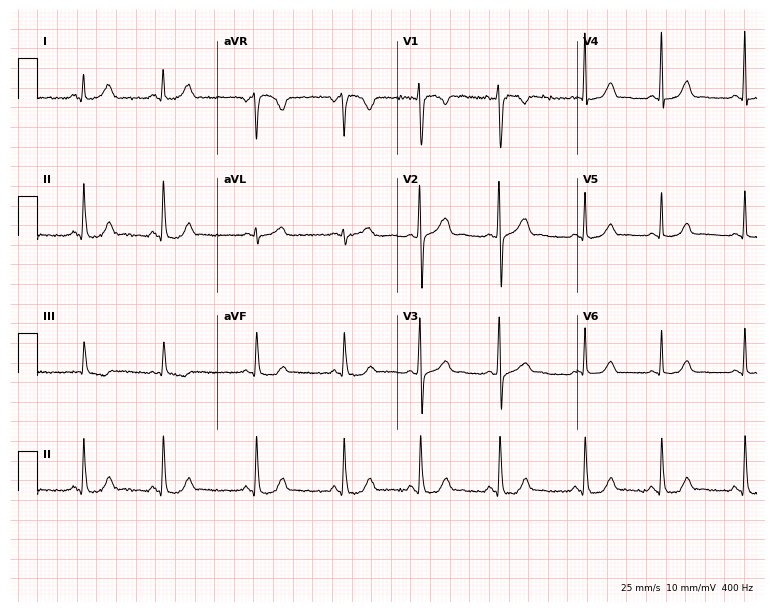
ECG — a female patient, 22 years old. Labelled as a normal ECG.